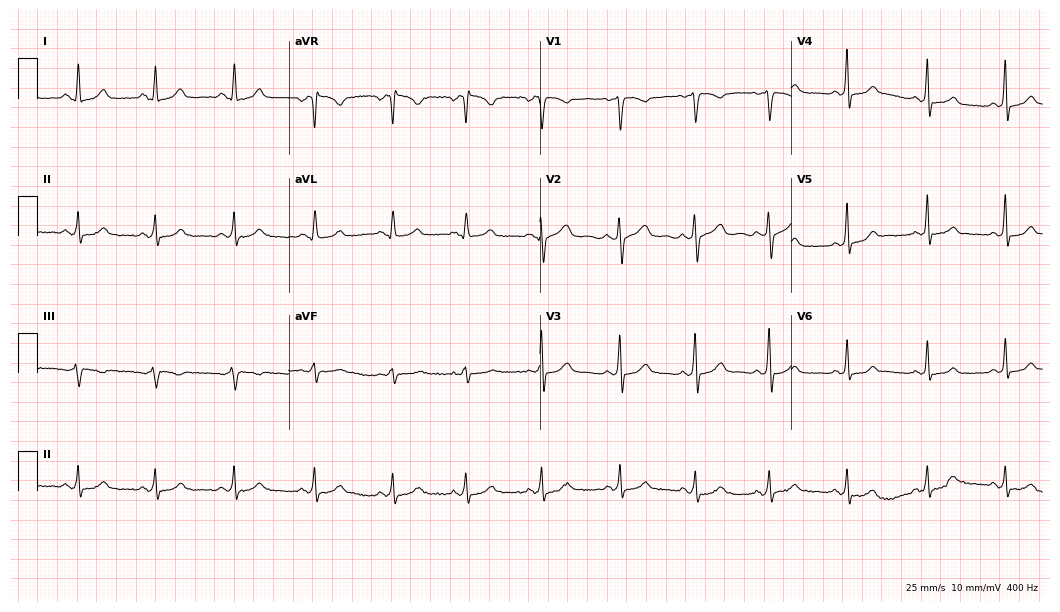
Resting 12-lead electrocardiogram (10.2-second recording at 400 Hz). Patient: a female, 31 years old. Read as a normal ECG.